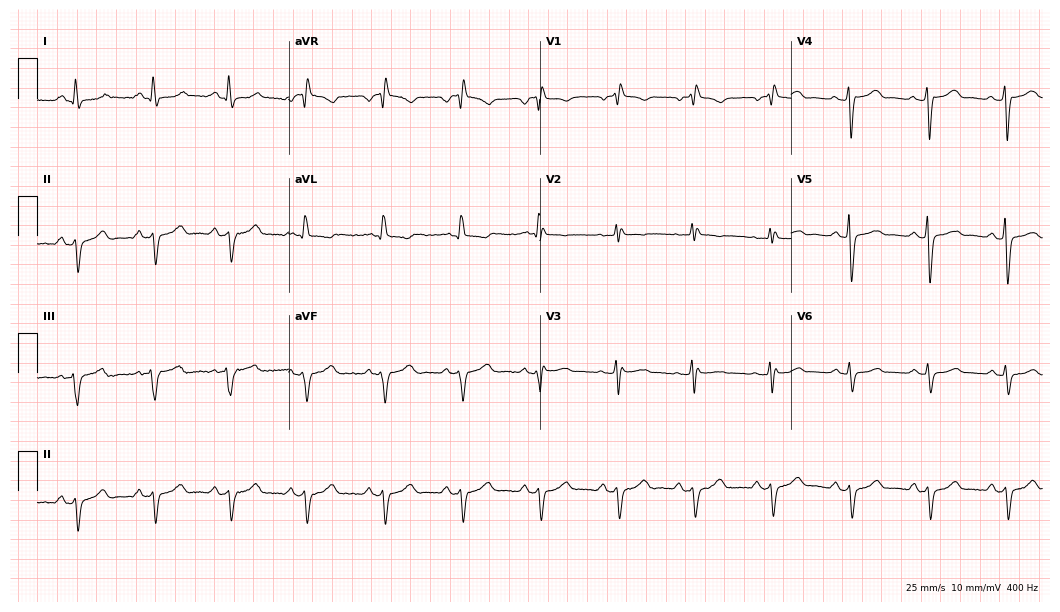
12-lead ECG from a female, 56 years old. Shows right bundle branch block.